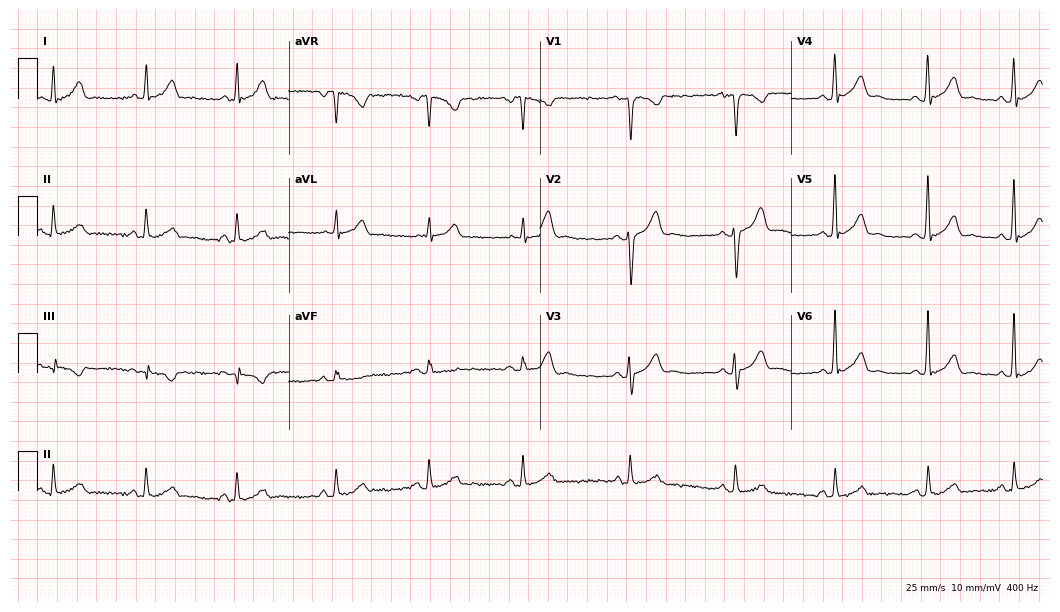
12-lead ECG from a man, 32 years old. Recorded interpretation: within normal limits.